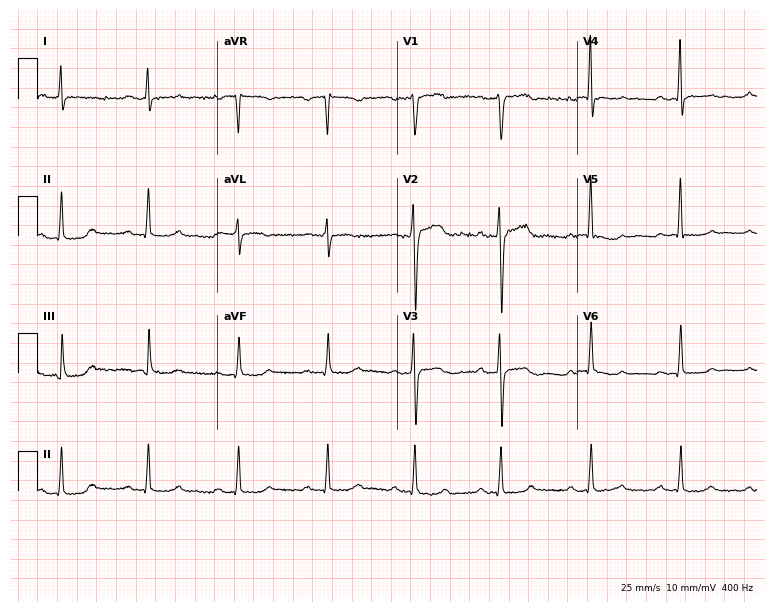
Electrocardiogram, a man, 49 years old. Of the six screened findings (first-degree AV block, right bundle branch block (RBBB), left bundle branch block (LBBB), sinus bradycardia, atrial fibrillation (AF), sinus tachycardia), none is recorded. Only these six findings were labelled.